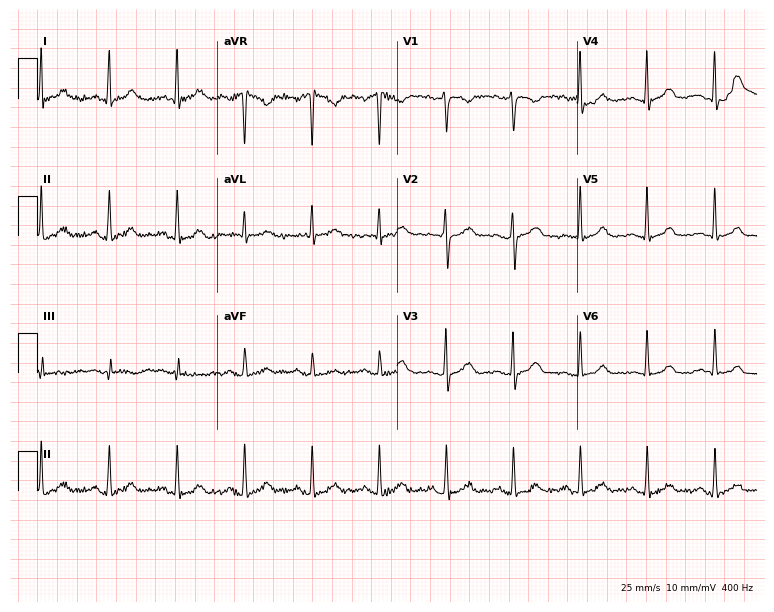
Standard 12-lead ECG recorded from a 36-year-old female (7.3-second recording at 400 Hz). Read as a normal ECG.